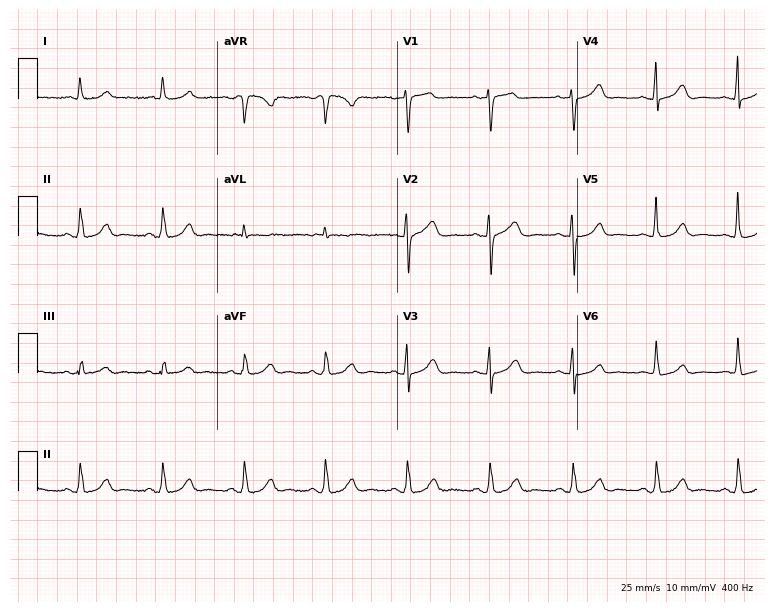
Electrocardiogram, a woman, 71 years old. Overall reading on record: normal ECG.